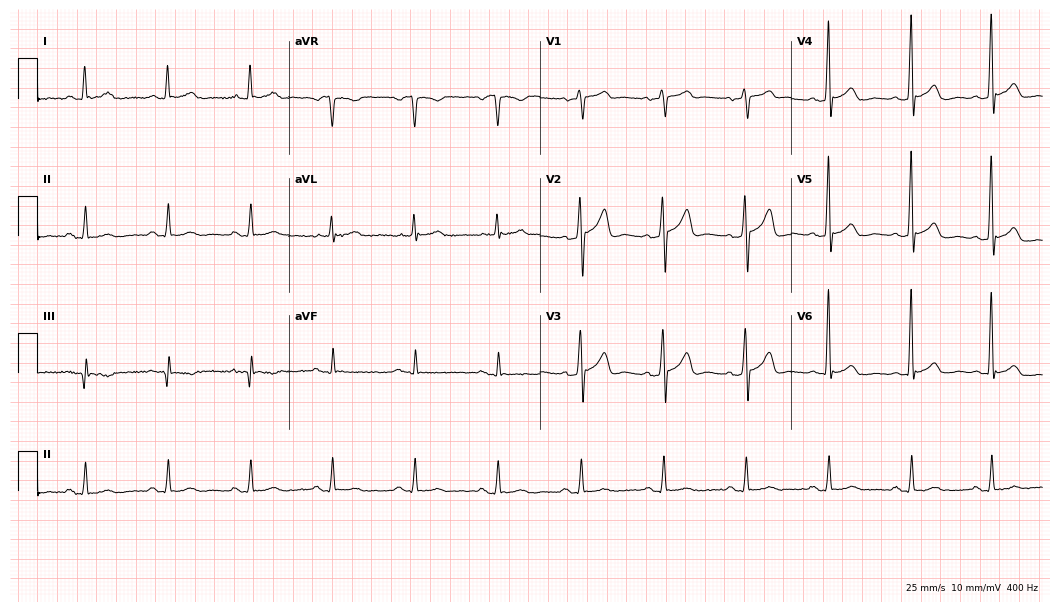
Standard 12-lead ECG recorded from a man, 72 years old. None of these six findings is recorded: first-degree AV block, right bundle branch block, left bundle branch block, sinus bradycardia, atrial fibrillation, sinus tachycardia. Only these six findings were labelled.